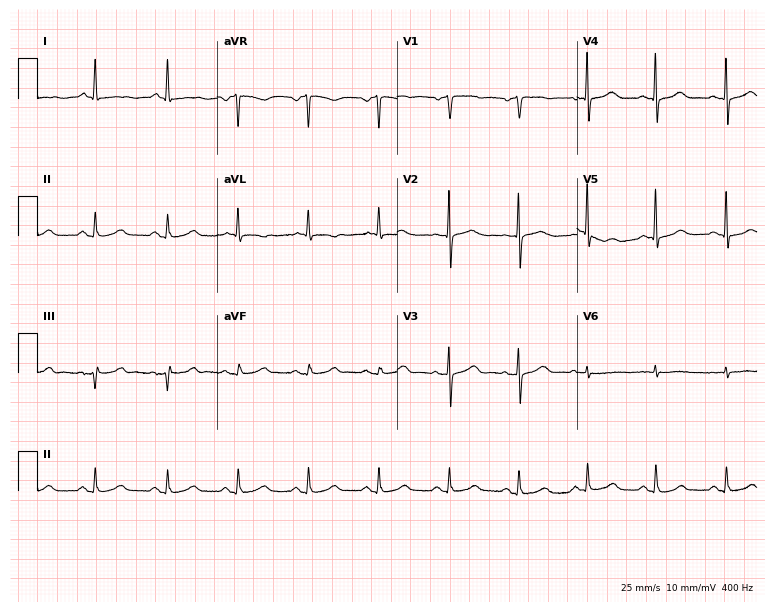
12-lead ECG (7.3-second recording at 400 Hz) from a 71-year-old female patient. Labelled as a normal ECG.